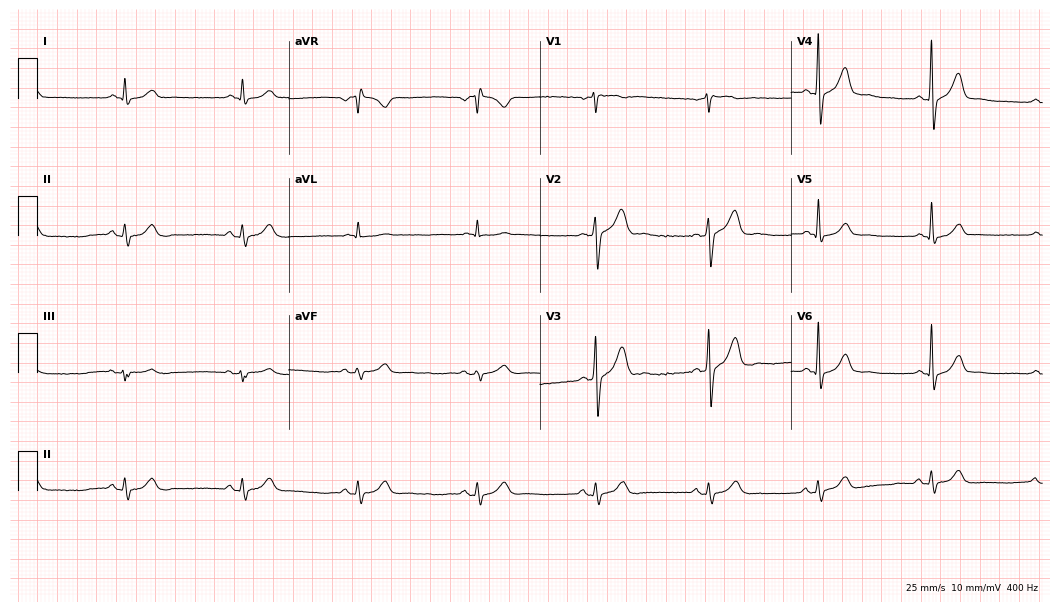
Standard 12-lead ECG recorded from a male patient, 60 years old (10.2-second recording at 400 Hz). Read as a normal ECG.